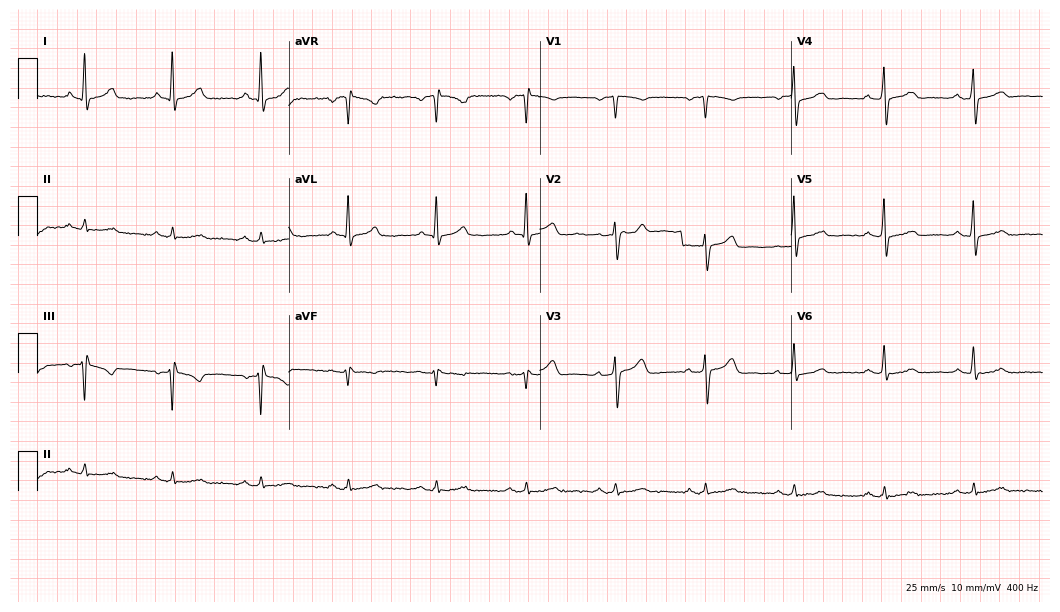
12-lead ECG from a 71-year-old male patient. Labelled as a normal ECG.